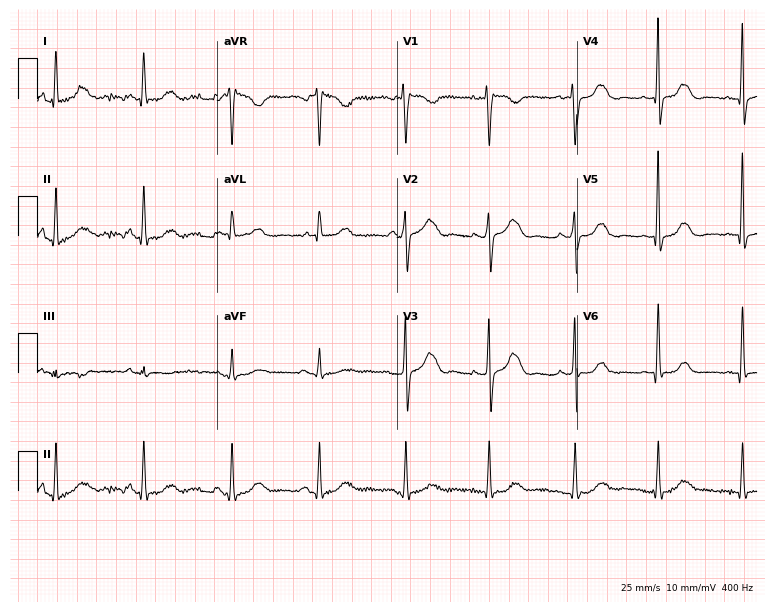
12-lead ECG (7.3-second recording at 400 Hz) from a female, 51 years old. Screened for six findings — first-degree AV block, right bundle branch block, left bundle branch block, sinus bradycardia, atrial fibrillation, sinus tachycardia — none is recorded.